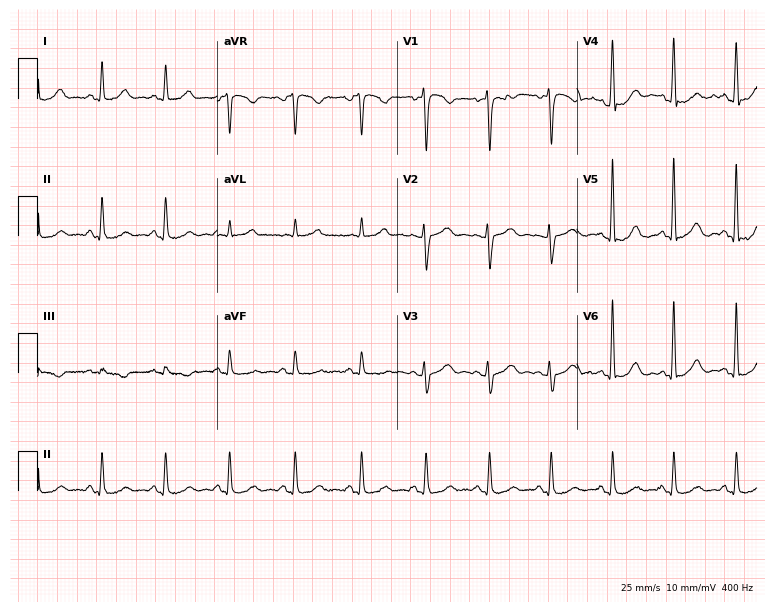
12-lead ECG from a female, 57 years old. Labelled as a normal ECG.